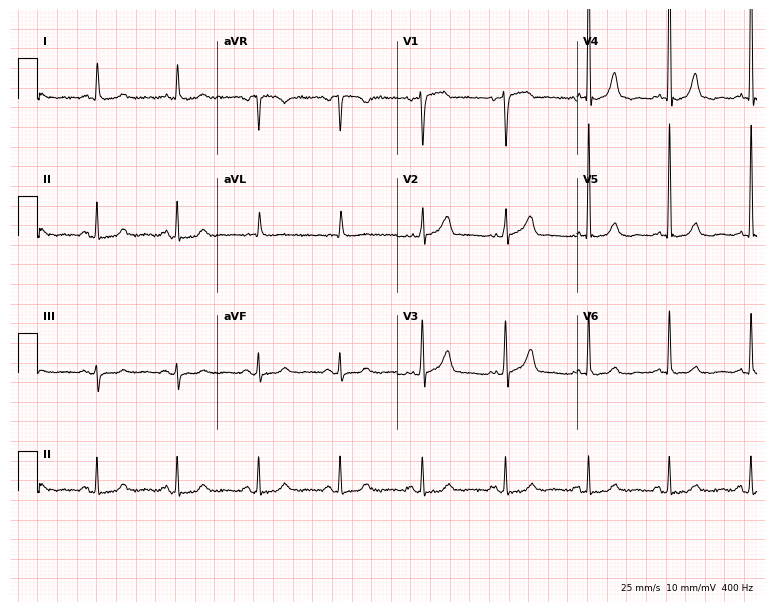
12-lead ECG from a female patient, 82 years old. Recorded interpretation: within normal limits.